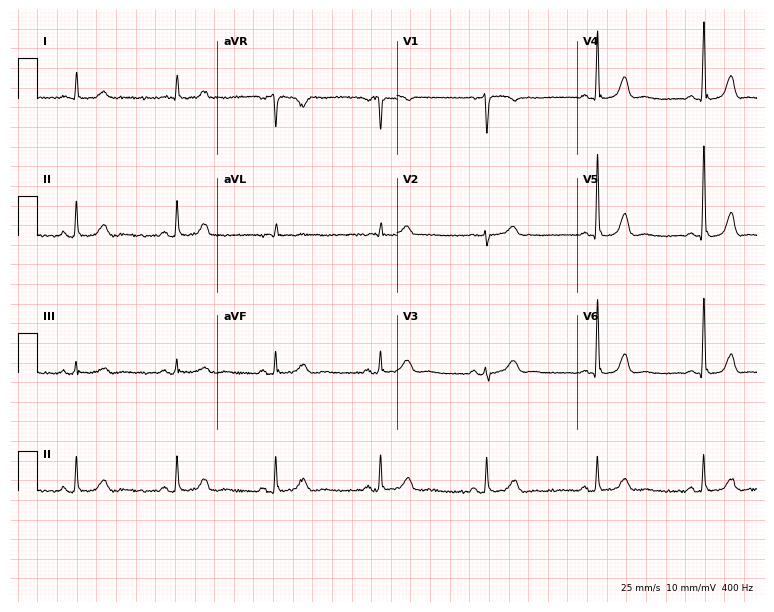
12-lead ECG (7.3-second recording at 400 Hz) from a 78-year-old female. Screened for six findings — first-degree AV block, right bundle branch block, left bundle branch block, sinus bradycardia, atrial fibrillation, sinus tachycardia — none is recorded. Findings outside these six are not listed.